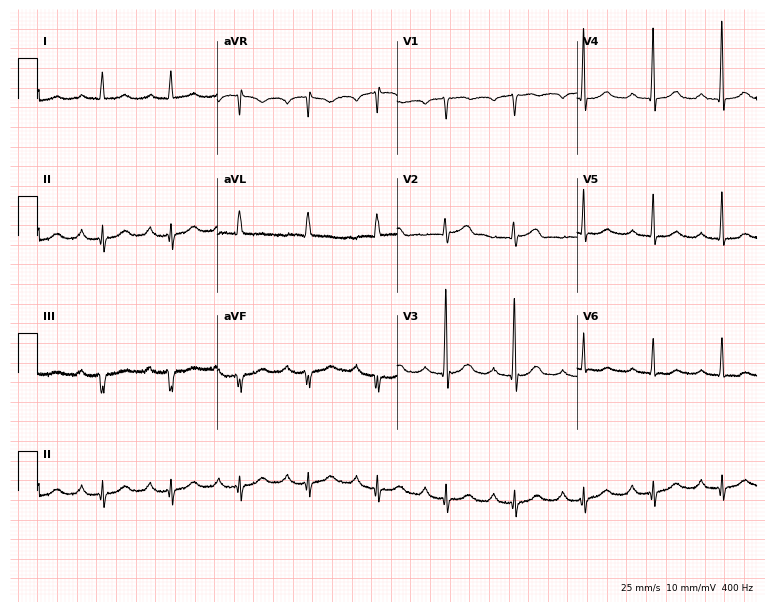
12-lead ECG from a 79-year-old male patient. Findings include first-degree AV block.